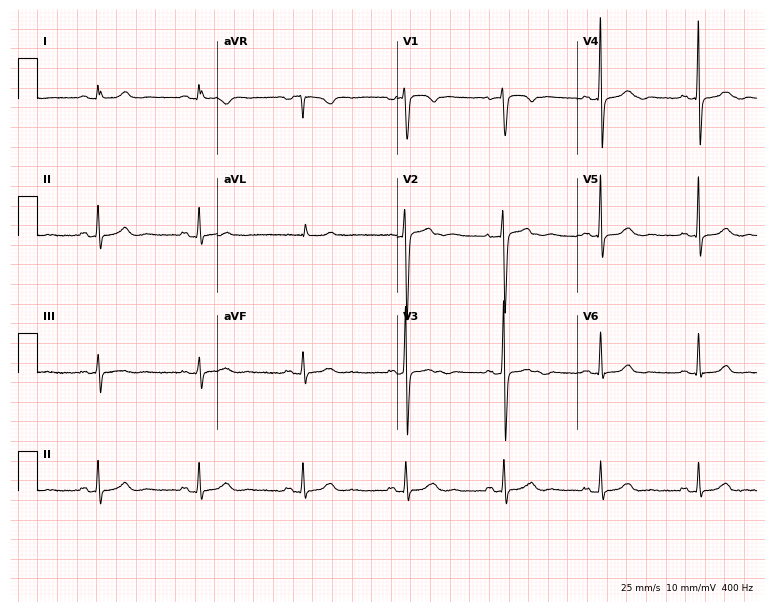
Resting 12-lead electrocardiogram. Patient: a female, 31 years old. Read as a normal ECG.